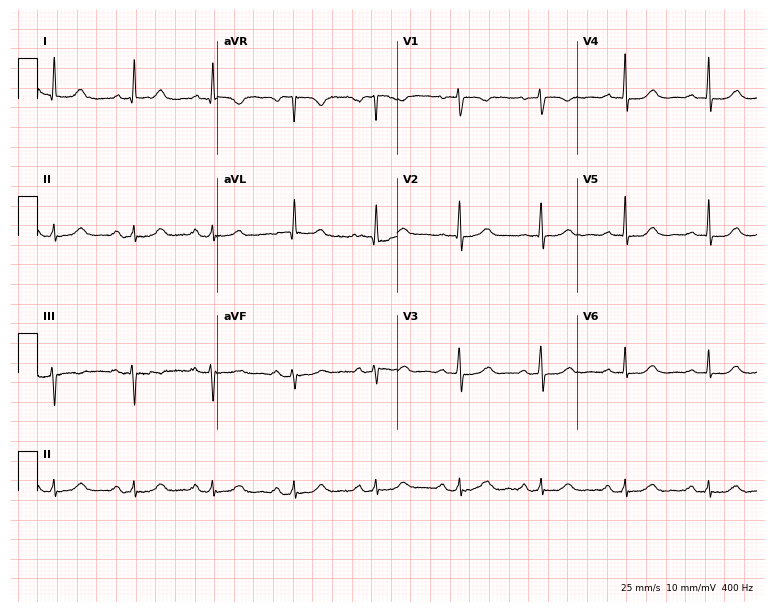
12-lead ECG from a woman, 78 years old. Labelled as a normal ECG.